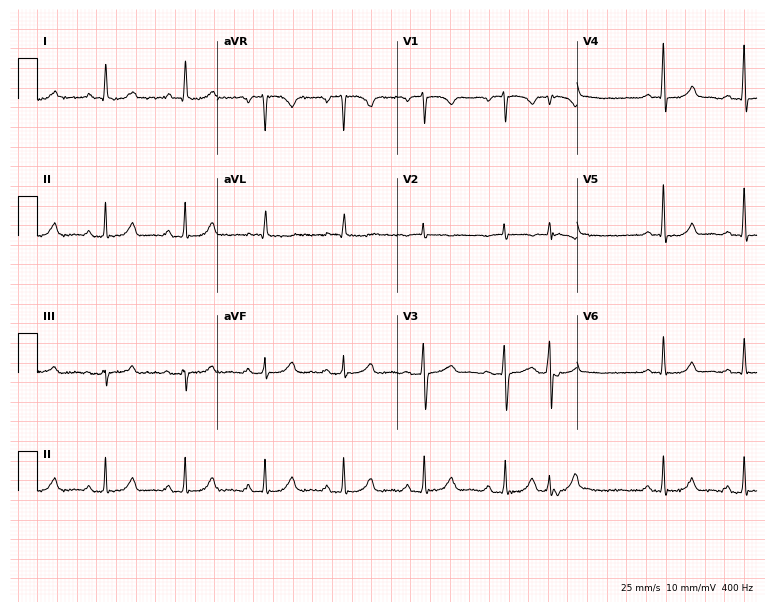
12-lead ECG from a female, 62 years old. No first-degree AV block, right bundle branch block, left bundle branch block, sinus bradycardia, atrial fibrillation or sinus tachycardia recorded for this tracing. Other findings, if any, are not listed.